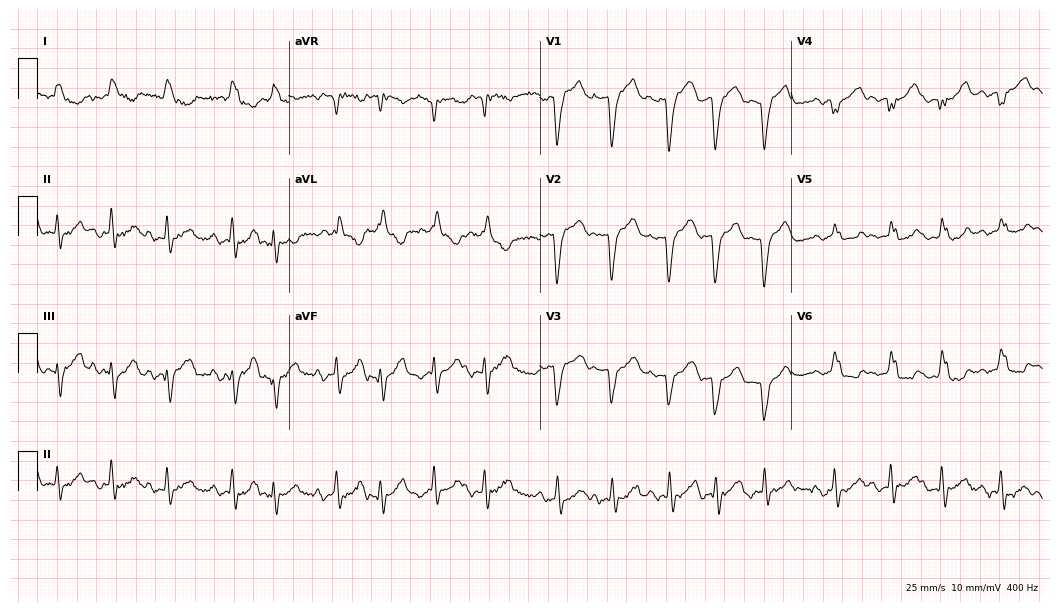
Standard 12-lead ECG recorded from an 84-year-old female (10.2-second recording at 400 Hz). The tracing shows left bundle branch block.